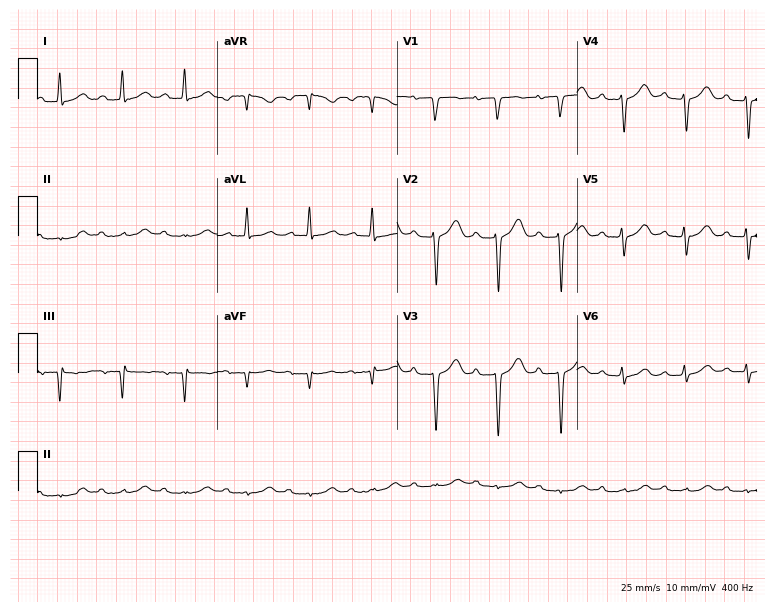
Standard 12-lead ECG recorded from an 84-year-old female patient (7.3-second recording at 400 Hz). The tracing shows first-degree AV block.